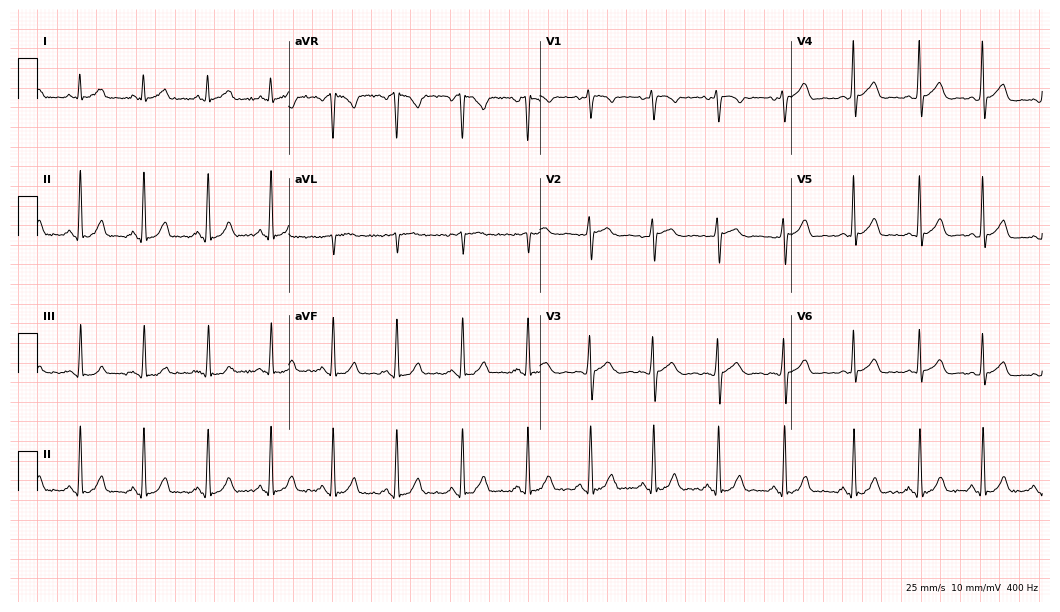
ECG (10.2-second recording at 400 Hz) — a 54-year-old woman. Labelled as a normal ECG.